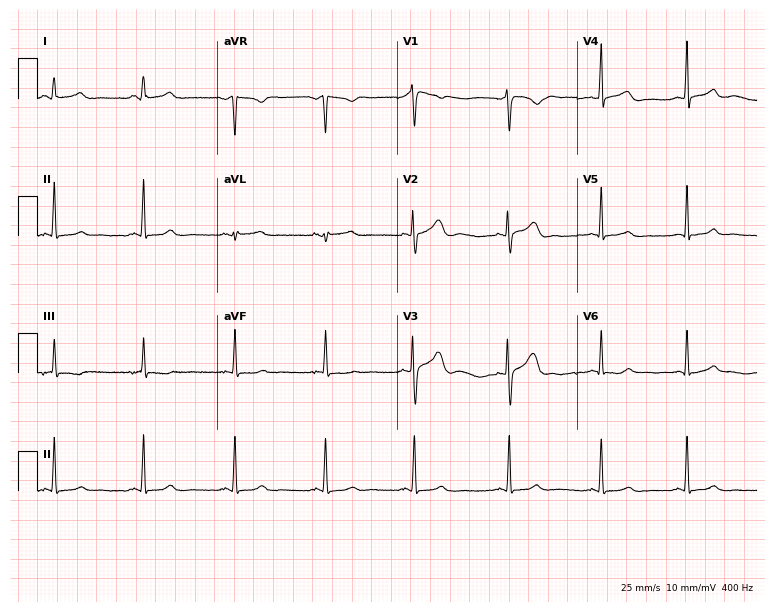
ECG — a 29-year-old female. Screened for six findings — first-degree AV block, right bundle branch block (RBBB), left bundle branch block (LBBB), sinus bradycardia, atrial fibrillation (AF), sinus tachycardia — none is recorded. Only these six findings were labelled.